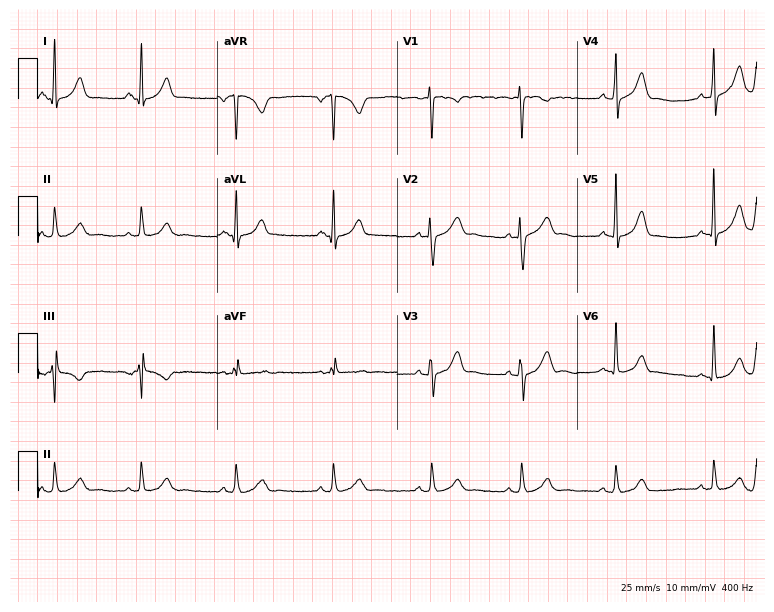
Resting 12-lead electrocardiogram (7.3-second recording at 400 Hz). Patient: a 28-year-old female. Read as a normal ECG.